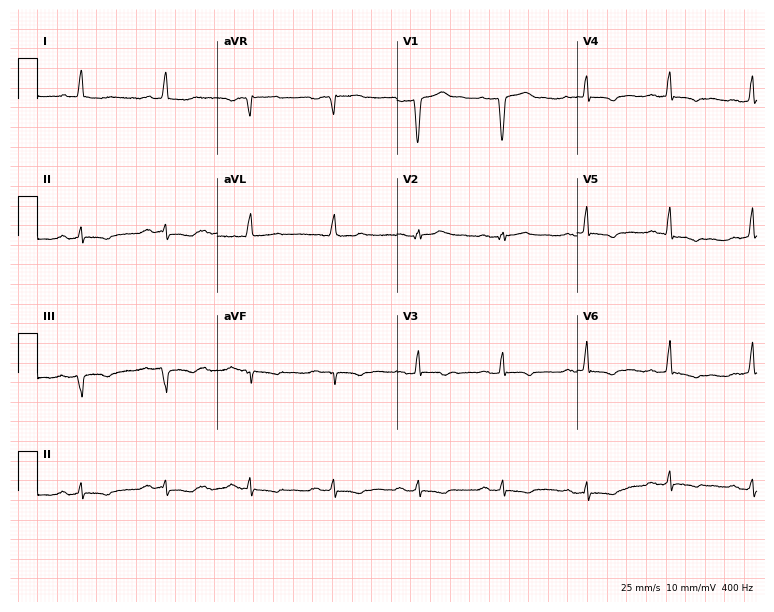
Electrocardiogram (7.3-second recording at 400 Hz), a male patient, 74 years old. Of the six screened findings (first-degree AV block, right bundle branch block, left bundle branch block, sinus bradycardia, atrial fibrillation, sinus tachycardia), none is recorded.